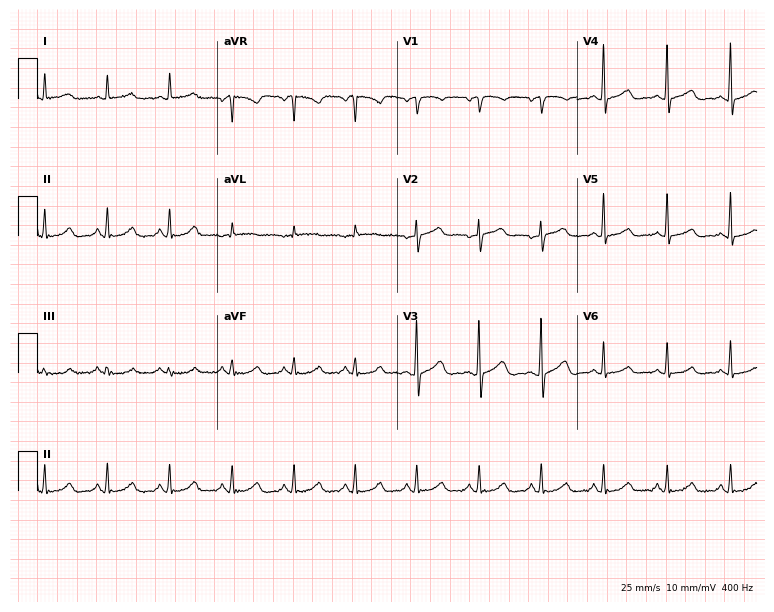
12-lead ECG (7.3-second recording at 400 Hz) from a 49-year-old female. Labelled as a normal ECG.